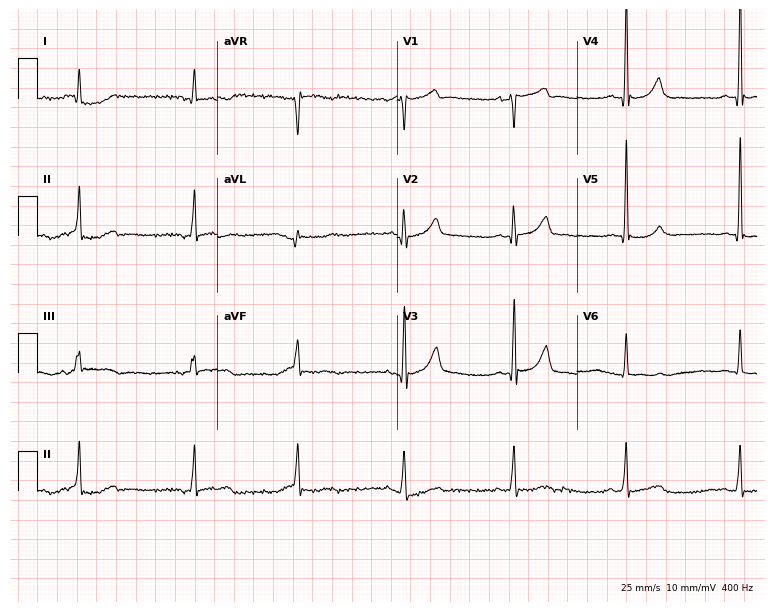
12-lead ECG from a male patient, 69 years old. No first-degree AV block, right bundle branch block (RBBB), left bundle branch block (LBBB), sinus bradycardia, atrial fibrillation (AF) or sinus tachycardia recorded for this tracing.